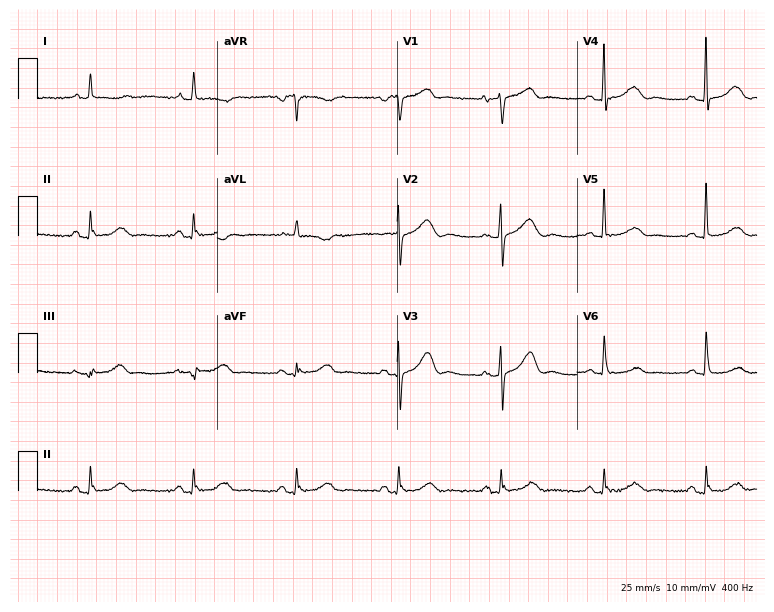
Resting 12-lead electrocardiogram (7.3-second recording at 400 Hz). Patient: a female, 82 years old. None of these six findings is recorded: first-degree AV block, right bundle branch block, left bundle branch block, sinus bradycardia, atrial fibrillation, sinus tachycardia.